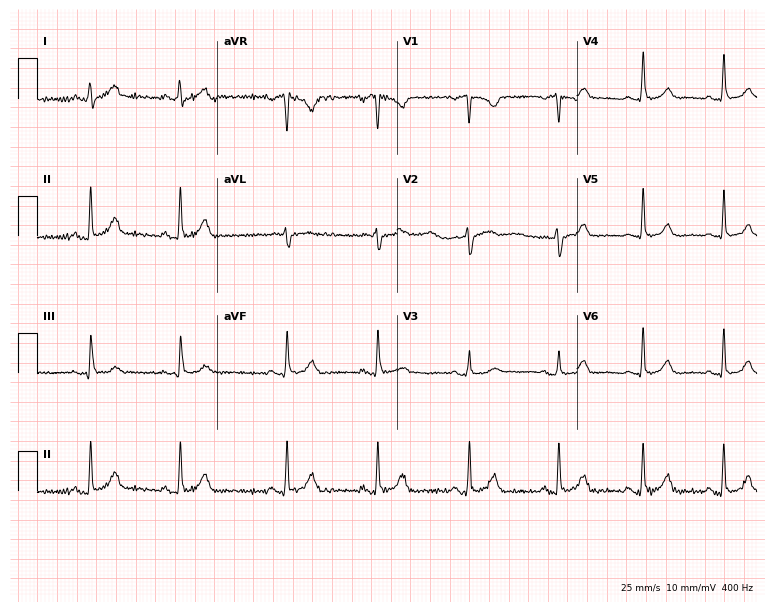
12-lead ECG from a 29-year-old female (7.3-second recording at 400 Hz). Recorded interpretation: within normal limits.